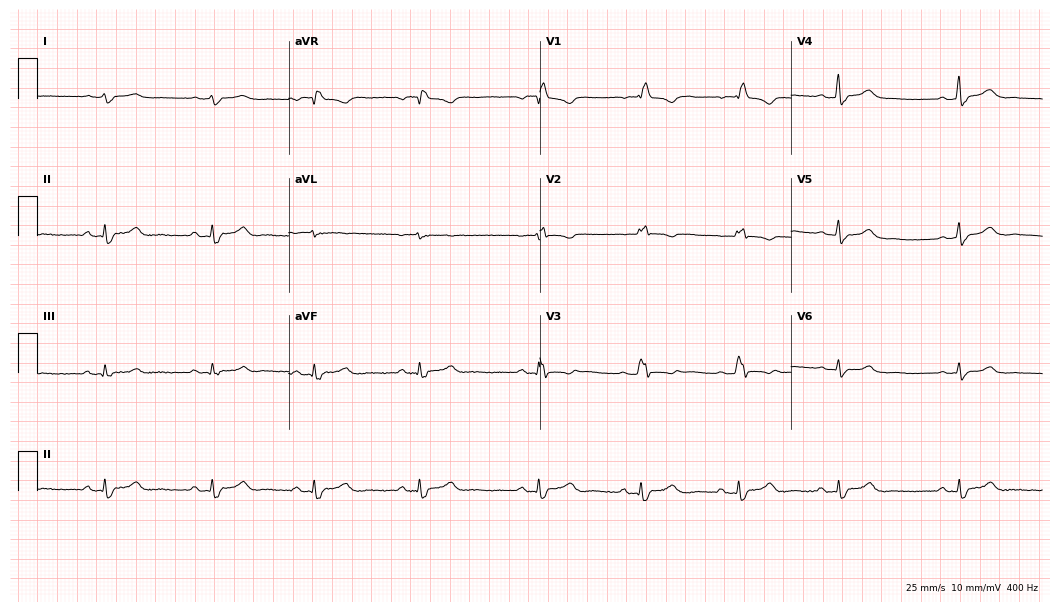
ECG (10.2-second recording at 400 Hz) — a female, 41 years old. Findings include right bundle branch block.